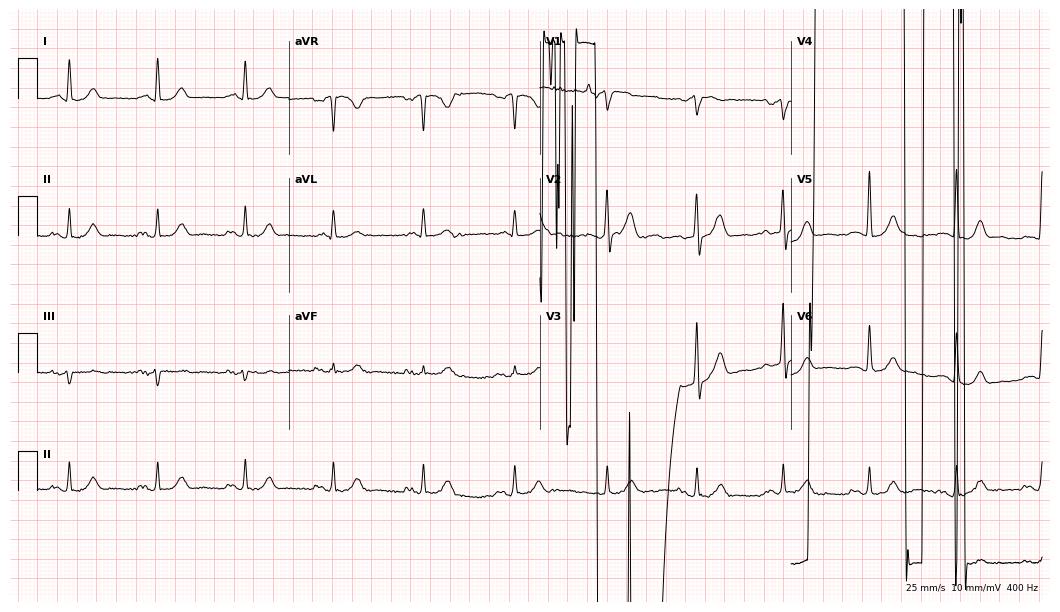
12-lead ECG from a 69-year-old male patient (10.2-second recording at 400 Hz). Recorded interpretation: within normal limits.